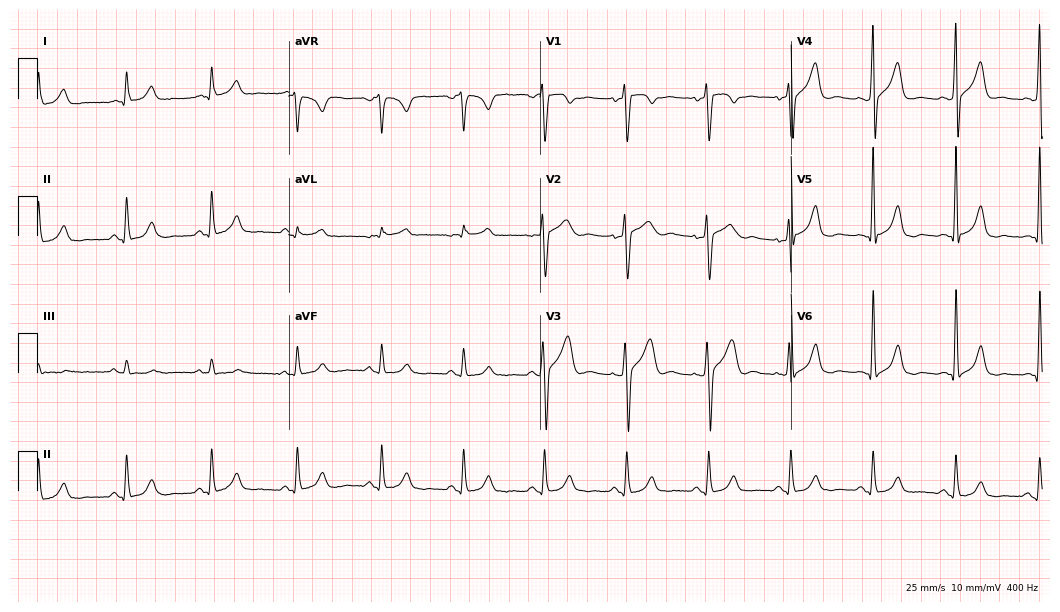
12-lead ECG from a male patient, 55 years old. No first-degree AV block, right bundle branch block, left bundle branch block, sinus bradycardia, atrial fibrillation or sinus tachycardia recorded for this tracing.